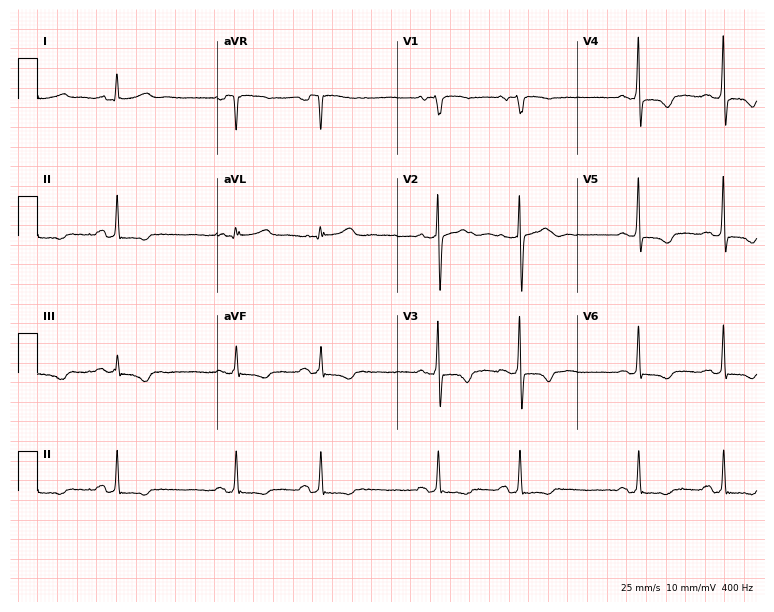
Standard 12-lead ECG recorded from a 64-year-old female patient (7.3-second recording at 400 Hz). None of these six findings is recorded: first-degree AV block, right bundle branch block (RBBB), left bundle branch block (LBBB), sinus bradycardia, atrial fibrillation (AF), sinus tachycardia. Only these six findings were labelled.